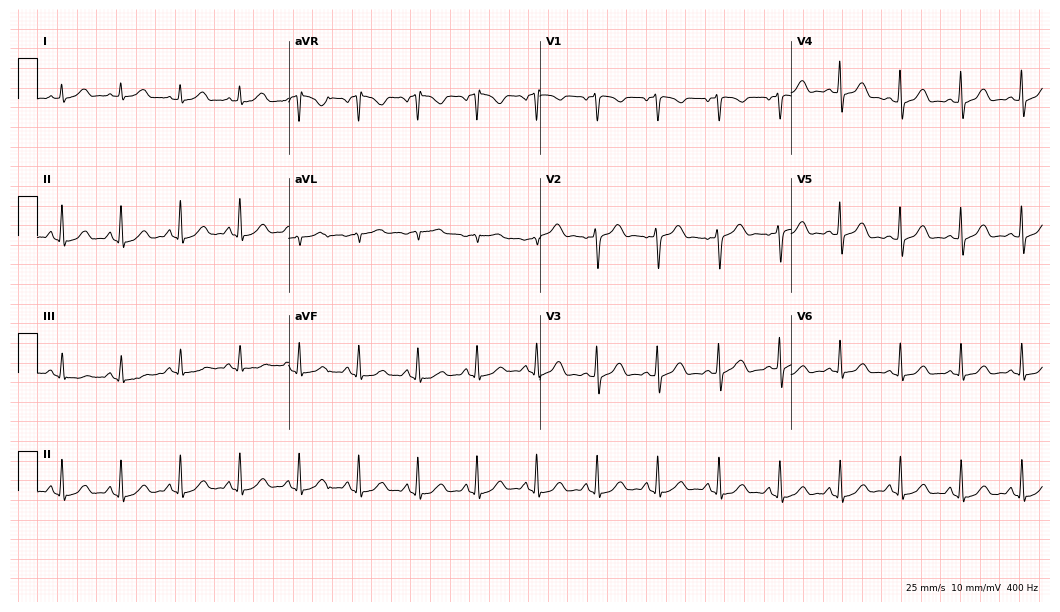
Electrocardiogram (10.2-second recording at 400 Hz), a woman, 40 years old. Overall reading on record: normal ECG.